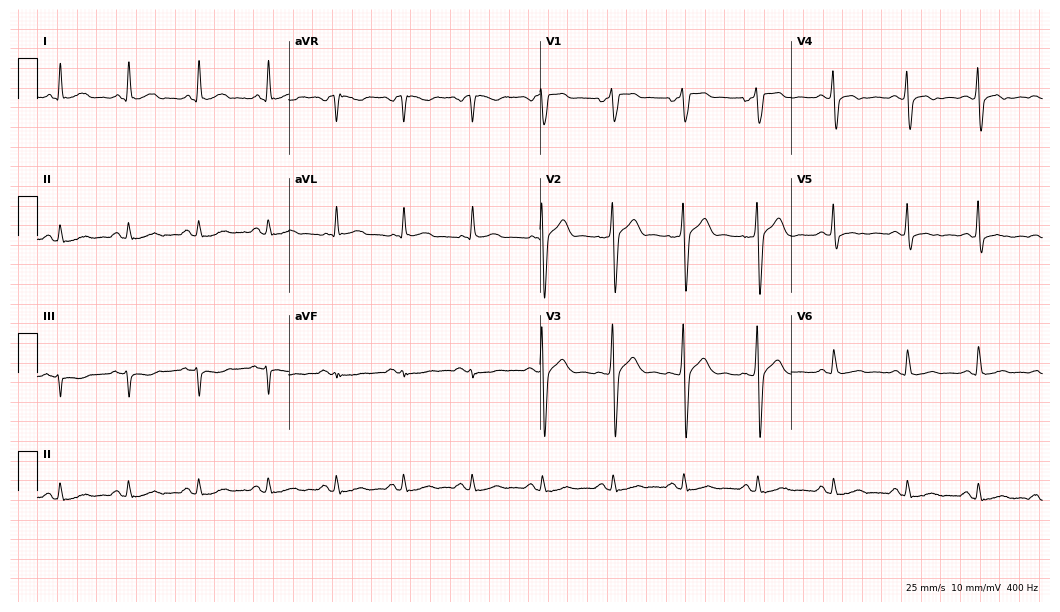
12-lead ECG from a male patient, 36 years old. No first-degree AV block, right bundle branch block (RBBB), left bundle branch block (LBBB), sinus bradycardia, atrial fibrillation (AF) or sinus tachycardia recorded for this tracing. Findings outside these six are not listed.